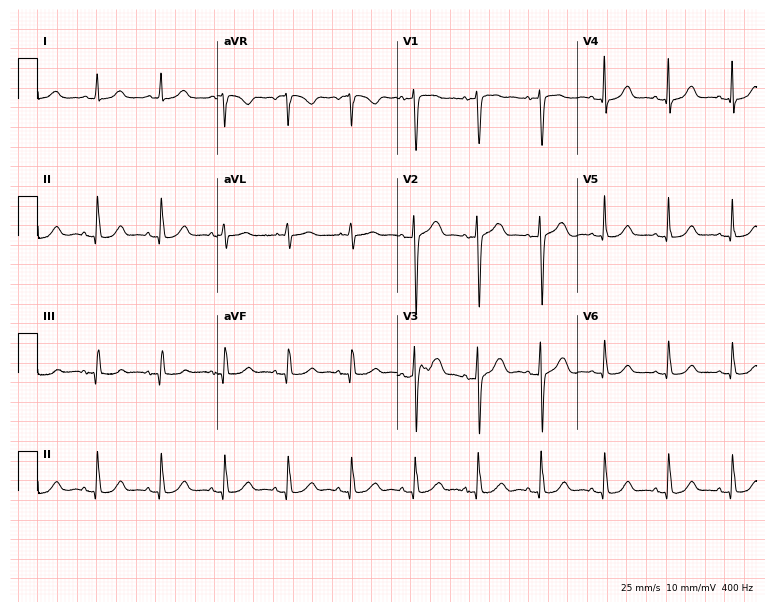
Electrocardiogram, a female patient, 85 years old. Of the six screened findings (first-degree AV block, right bundle branch block (RBBB), left bundle branch block (LBBB), sinus bradycardia, atrial fibrillation (AF), sinus tachycardia), none is recorded.